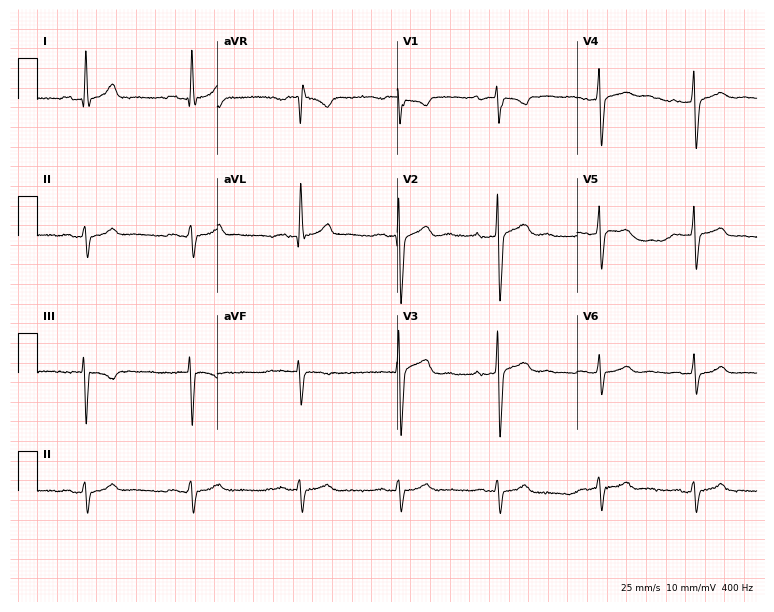
12-lead ECG from a male patient, 34 years old. No first-degree AV block, right bundle branch block (RBBB), left bundle branch block (LBBB), sinus bradycardia, atrial fibrillation (AF) or sinus tachycardia recorded for this tracing. Other findings, if any, are not listed.